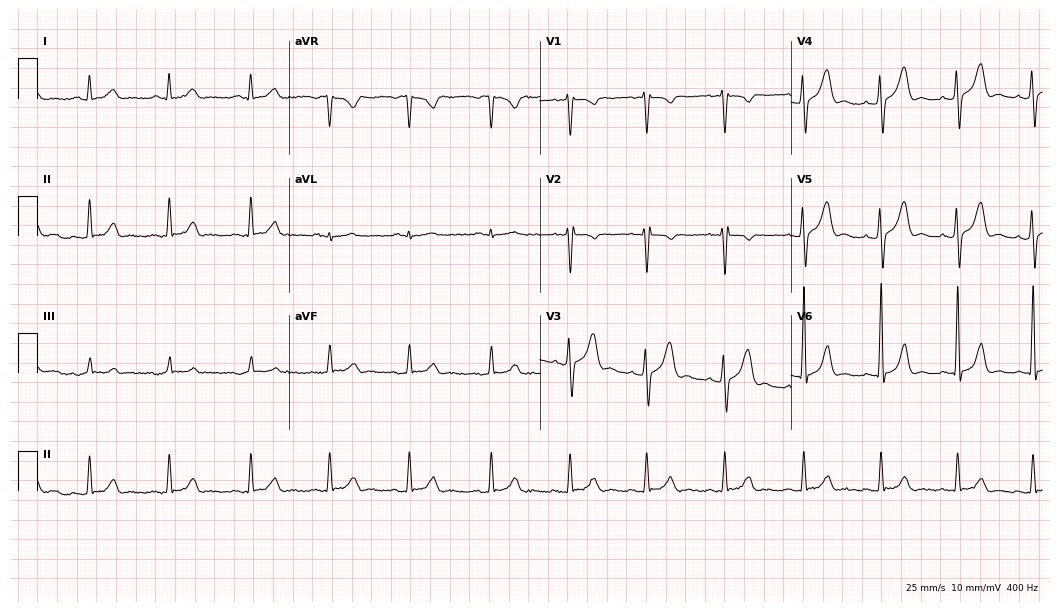
12-lead ECG from a 22-year-old male patient (10.2-second recording at 400 Hz). No first-degree AV block, right bundle branch block, left bundle branch block, sinus bradycardia, atrial fibrillation or sinus tachycardia recorded for this tracing. Findings outside these six are not listed.